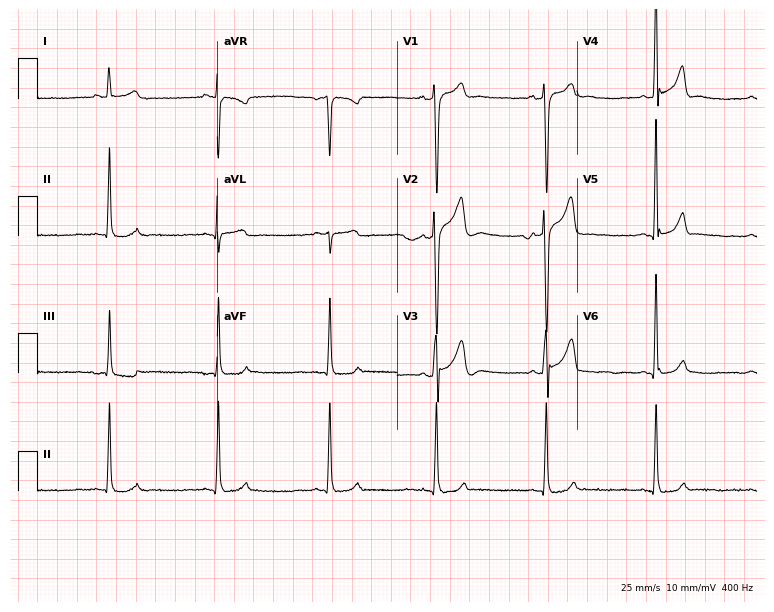
12-lead ECG from a 25-year-old male patient (7.3-second recording at 400 Hz). No first-degree AV block, right bundle branch block (RBBB), left bundle branch block (LBBB), sinus bradycardia, atrial fibrillation (AF) or sinus tachycardia recorded for this tracing. Findings outside these six are not listed.